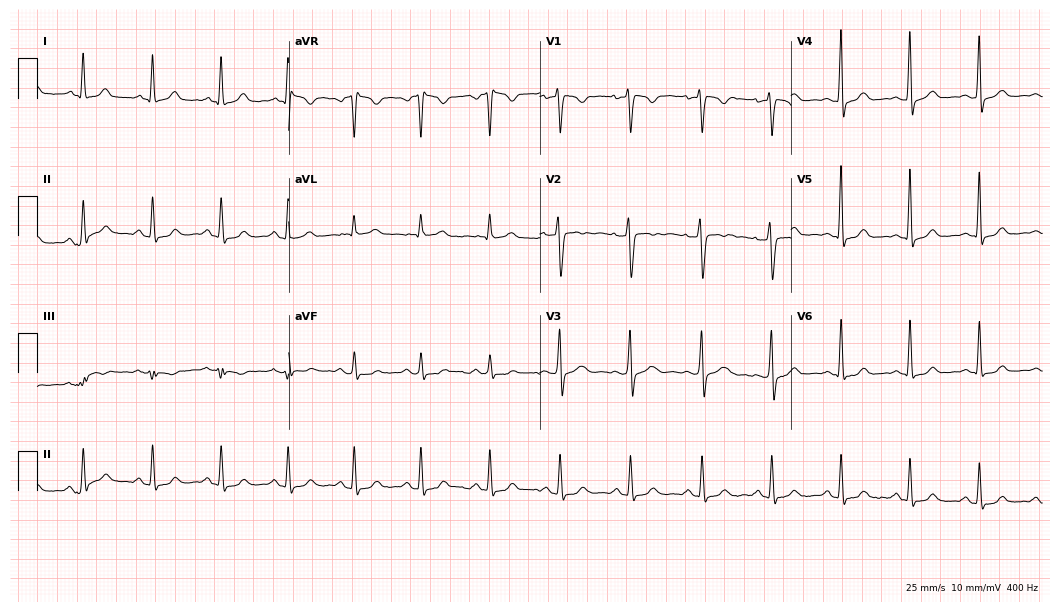
12-lead ECG (10.2-second recording at 400 Hz) from a female patient, 44 years old. Screened for six findings — first-degree AV block, right bundle branch block, left bundle branch block, sinus bradycardia, atrial fibrillation, sinus tachycardia — none is recorded. Findings outside these six are not listed.